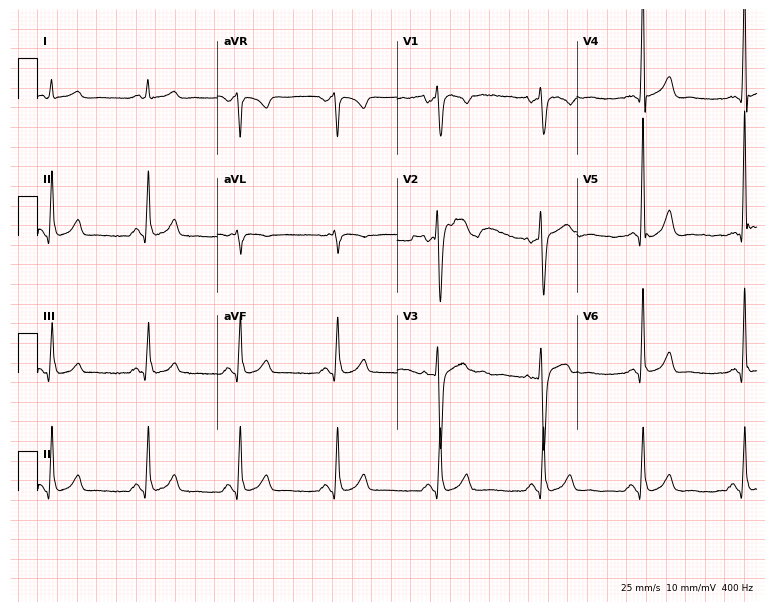
ECG — a male patient, 46 years old. Labelled as a normal ECG.